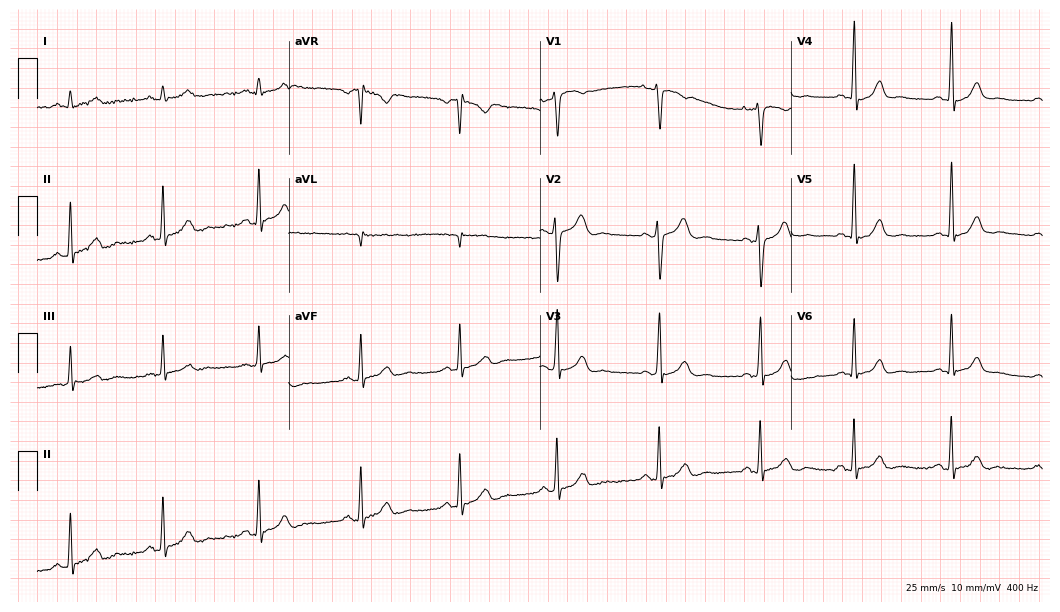
Resting 12-lead electrocardiogram. Patient: a 35-year-old female. Read as a normal ECG.